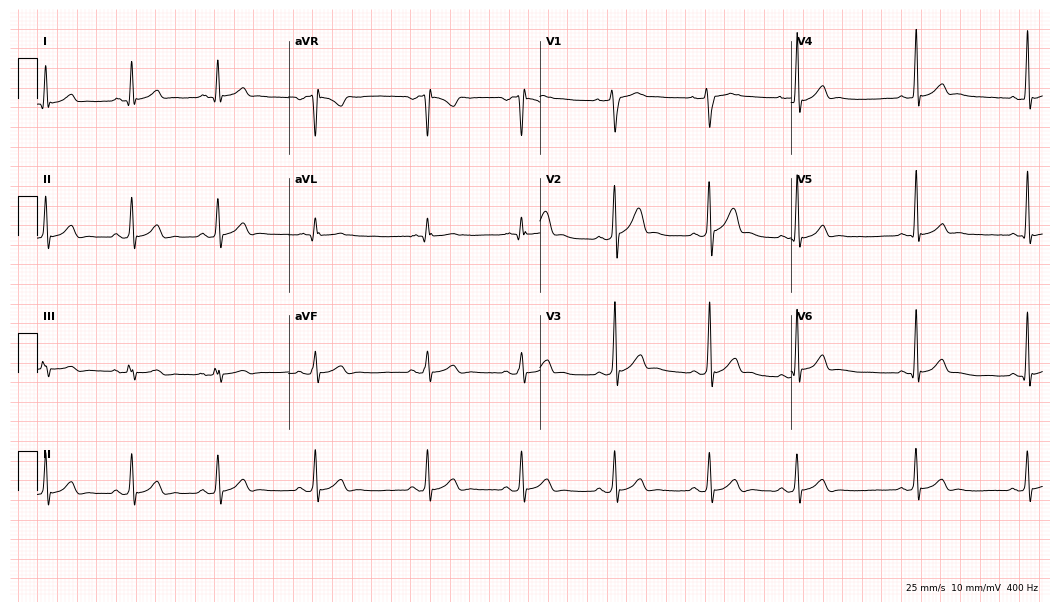
12-lead ECG from a 22-year-old male patient. Recorded interpretation: within normal limits.